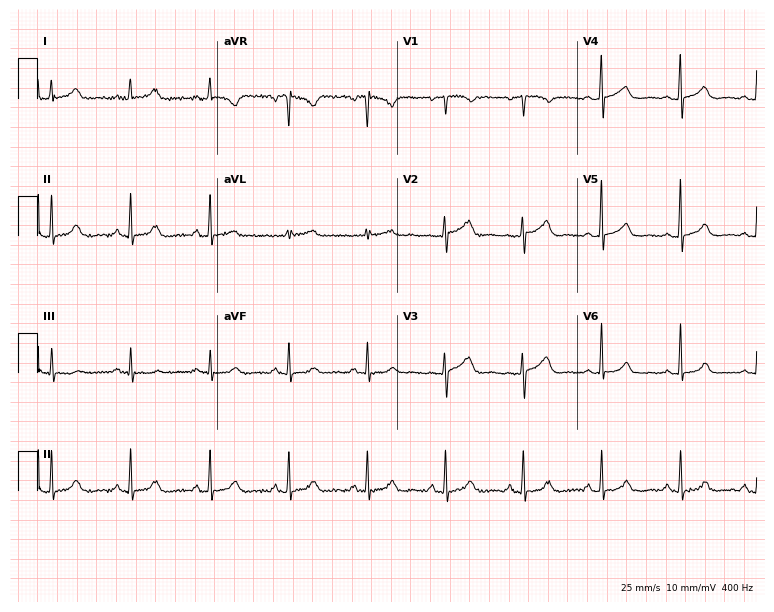
12-lead ECG from a 56-year-old woman. Labelled as a normal ECG.